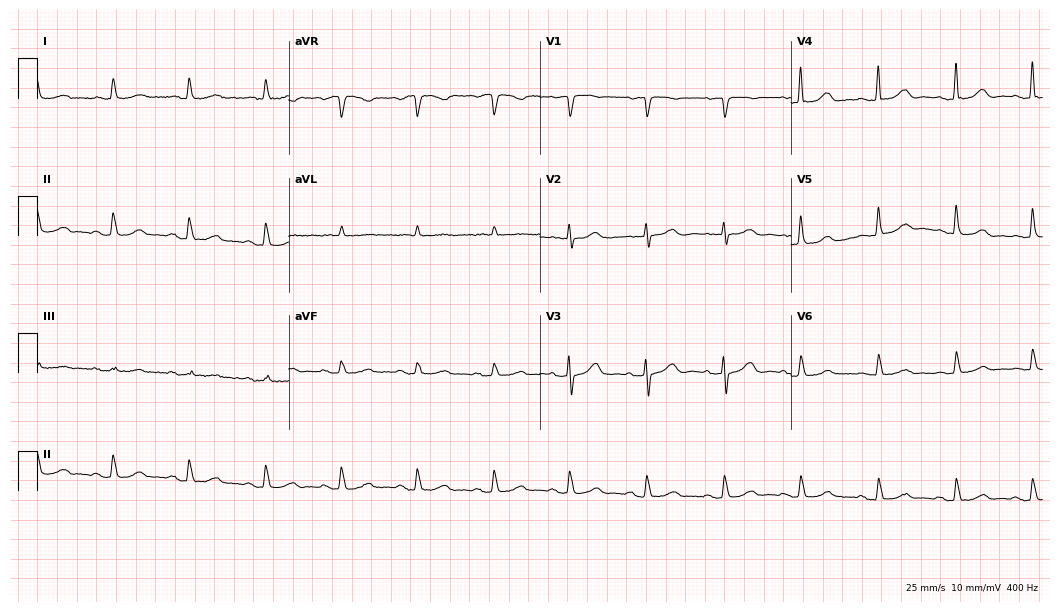
Electrocardiogram (10.2-second recording at 400 Hz), a 74-year-old female patient. Of the six screened findings (first-degree AV block, right bundle branch block, left bundle branch block, sinus bradycardia, atrial fibrillation, sinus tachycardia), none is recorded. Findings outside these six are not listed.